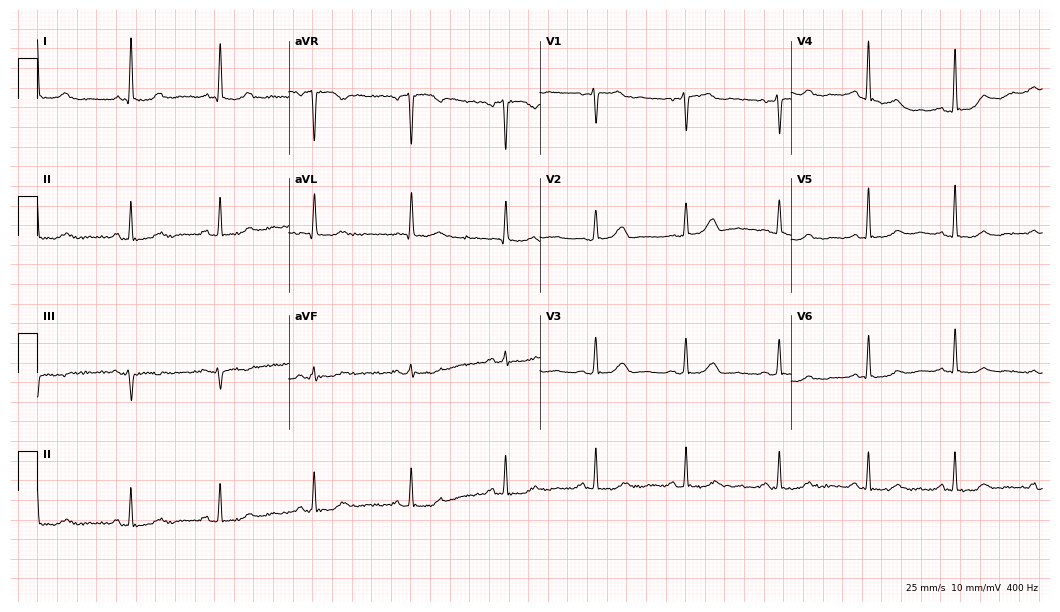
12-lead ECG from a 56-year-old female. Recorded interpretation: within normal limits.